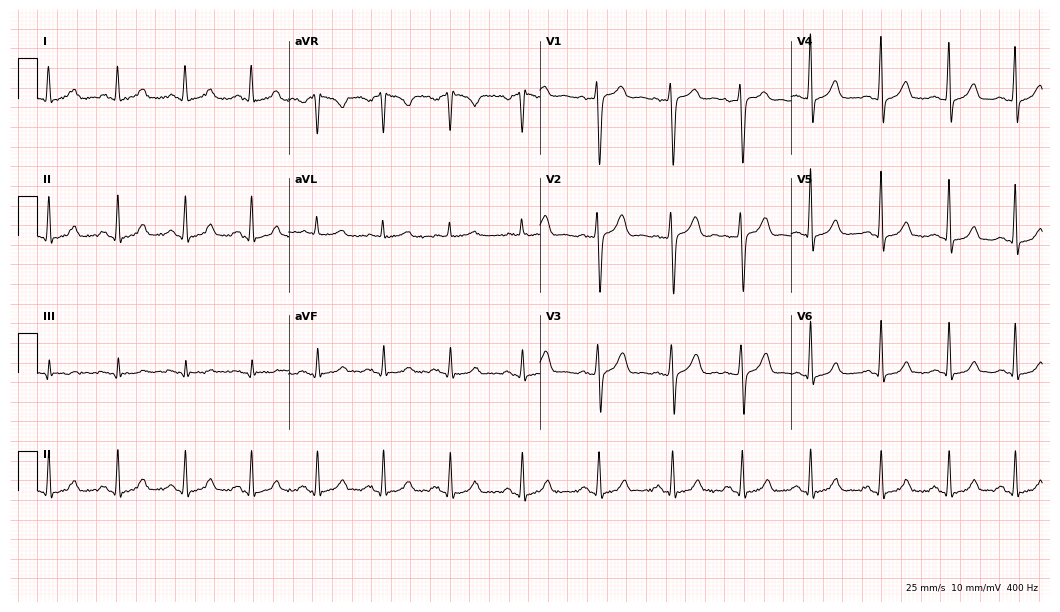
Electrocardiogram, a 38-year-old female patient. Overall reading on record: normal ECG.